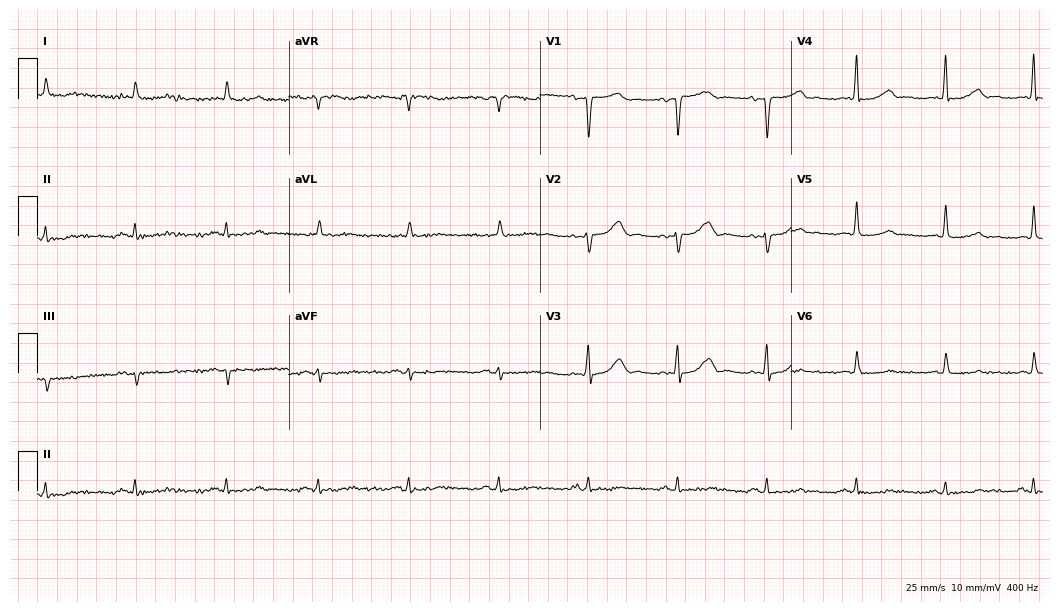
ECG — a female patient, 82 years old. Screened for six findings — first-degree AV block, right bundle branch block, left bundle branch block, sinus bradycardia, atrial fibrillation, sinus tachycardia — none is recorded.